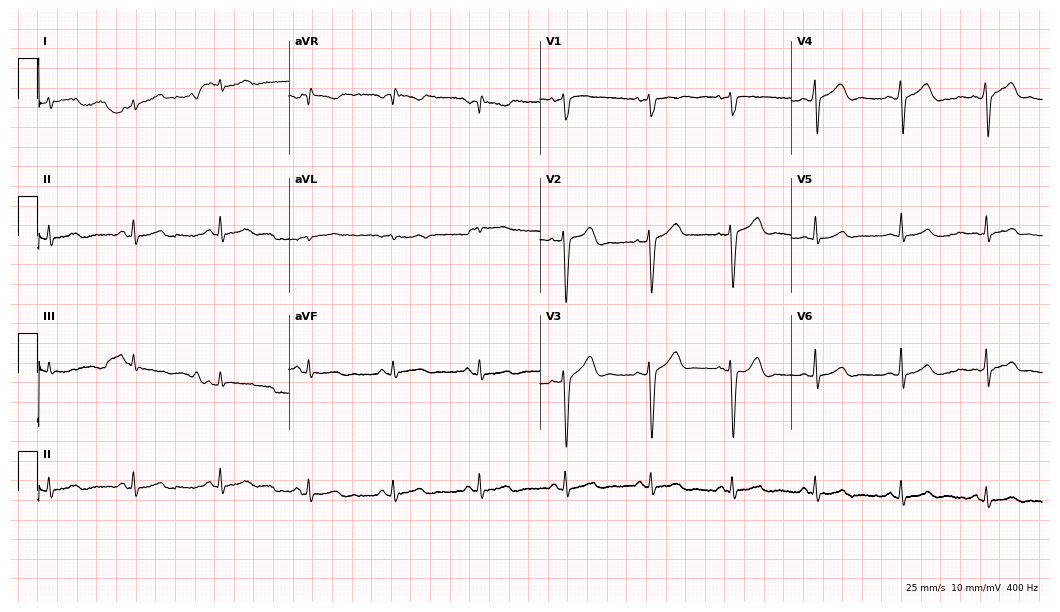
Resting 12-lead electrocardiogram (10.2-second recording at 400 Hz). Patient: a man, 41 years old. Read as a normal ECG.